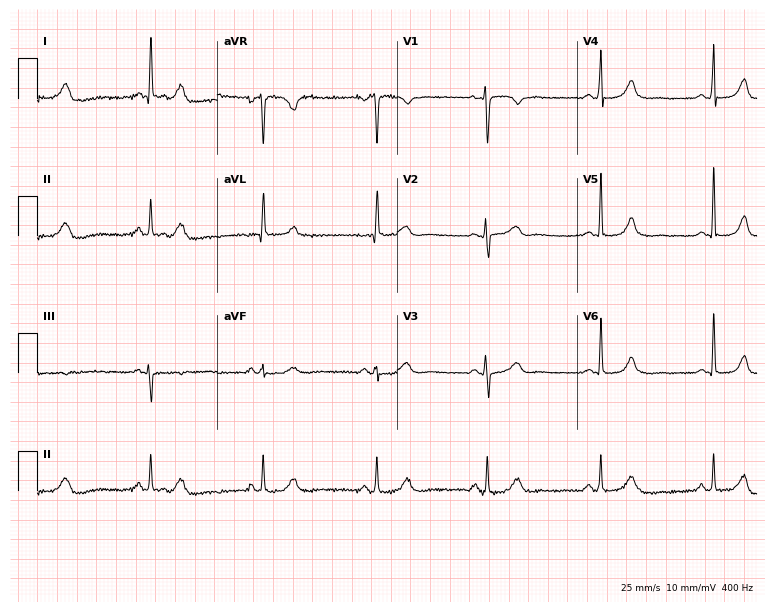
Resting 12-lead electrocardiogram. Patient: a female, 49 years old. Read as a normal ECG.